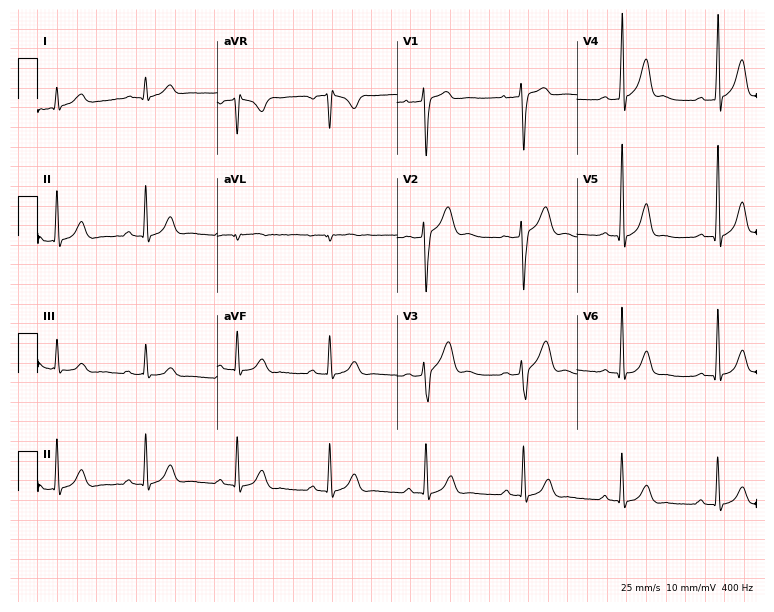
12-lead ECG from a man, 31 years old. No first-degree AV block, right bundle branch block, left bundle branch block, sinus bradycardia, atrial fibrillation or sinus tachycardia recorded for this tracing.